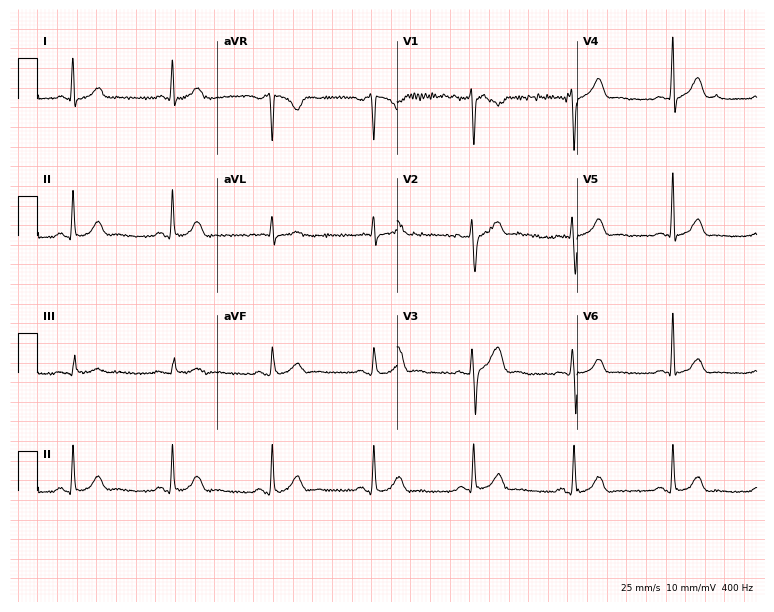
Resting 12-lead electrocardiogram. Patient: a male, 41 years old. Read as a normal ECG.